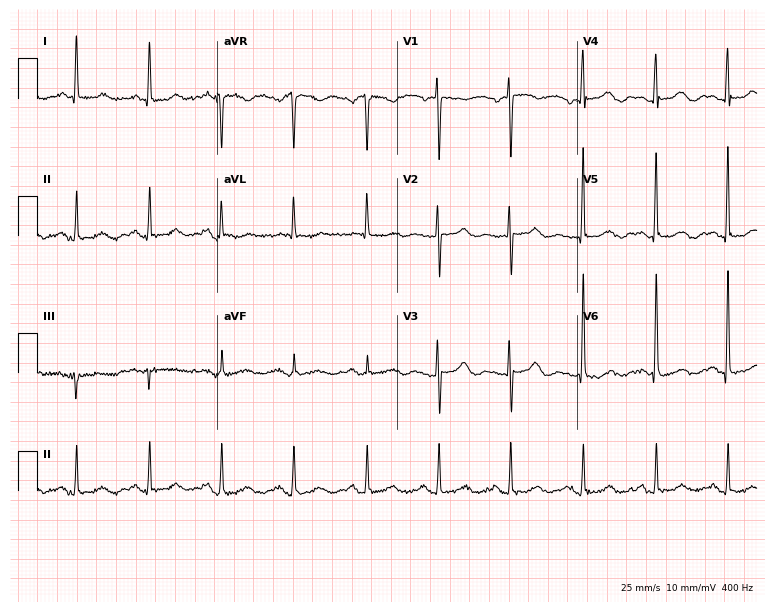
Standard 12-lead ECG recorded from a female patient, 73 years old (7.3-second recording at 400 Hz). None of these six findings is recorded: first-degree AV block, right bundle branch block, left bundle branch block, sinus bradycardia, atrial fibrillation, sinus tachycardia.